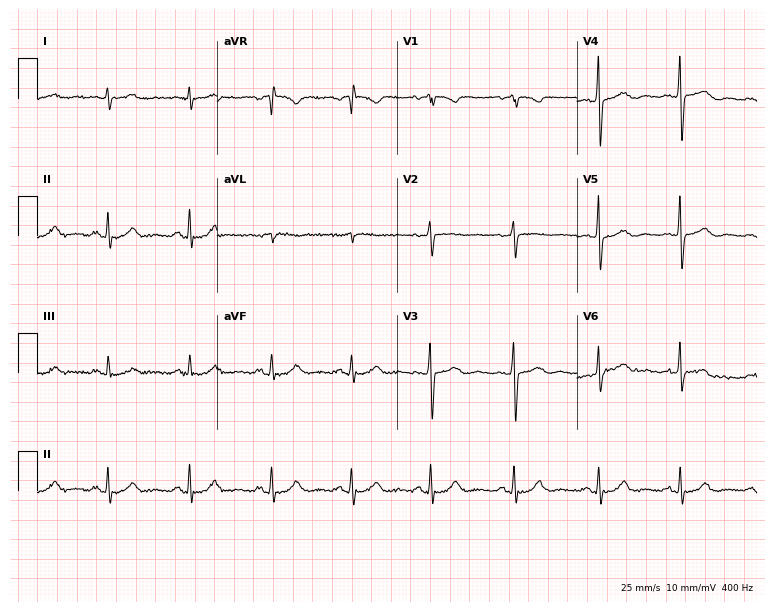
Standard 12-lead ECG recorded from a 60-year-old male patient. None of these six findings is recorded: first-degree AV block, right bundle branch block, left bundle branch block, sinus bradycardia, atrial fibrillation, sinus tachycardia.